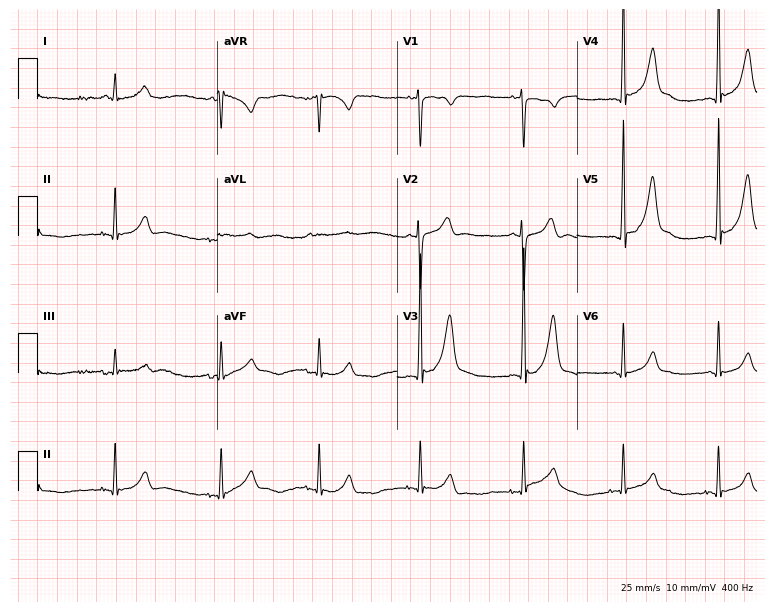
ECG — a 32-year-old male patient. Screened for six findings — first-degree AV block, right bundle branch block, left bundle branch block, sinus bradycardia, atrial fibrillation, sinus tachycardia — none is recorded.